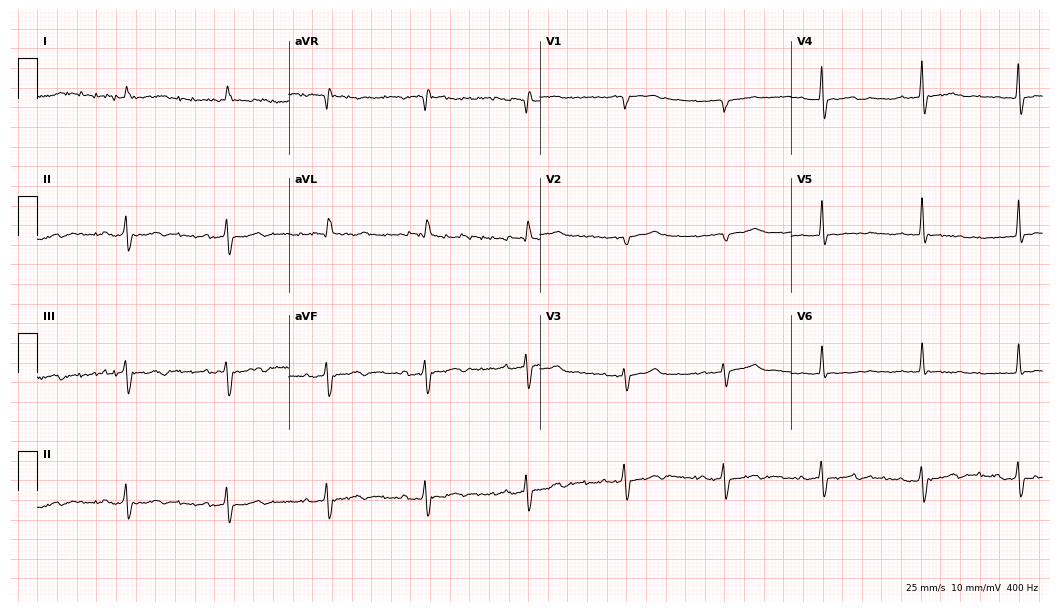
Standard 12-lead ECG recorded from an 85-year-old man. None of these six findings is recorded: first-degree AV block, right bundle branch block, left bundle branch block, sinus bradycardia, atrial fibrillation, sinus tachycardia.